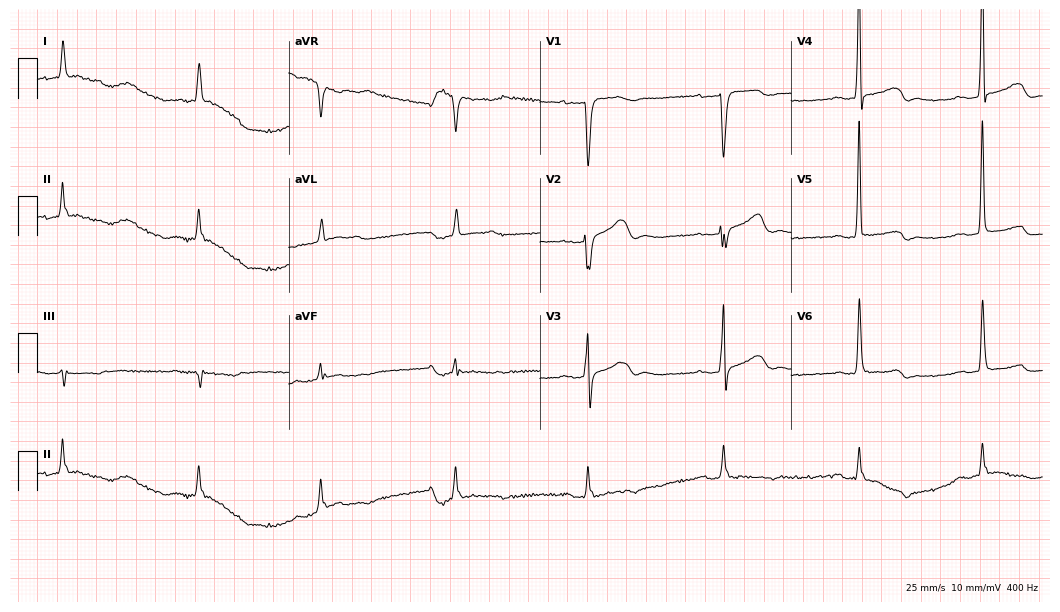
12-lead ECG from a male patient, 82 years old. Findings include first-degree AV block.